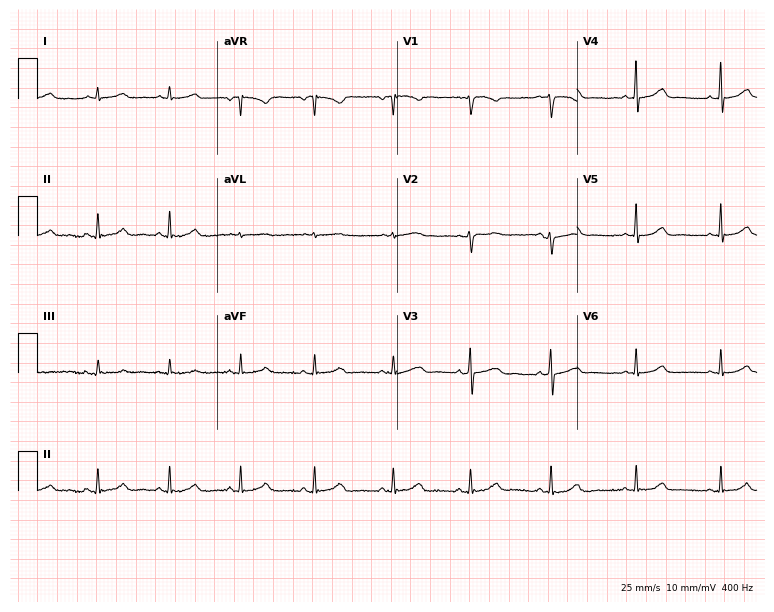
Standard 12-lead ECG recorded from a female patient, 56 years old (7.3-second recording at 400 Hz). Read as a normal ECG.